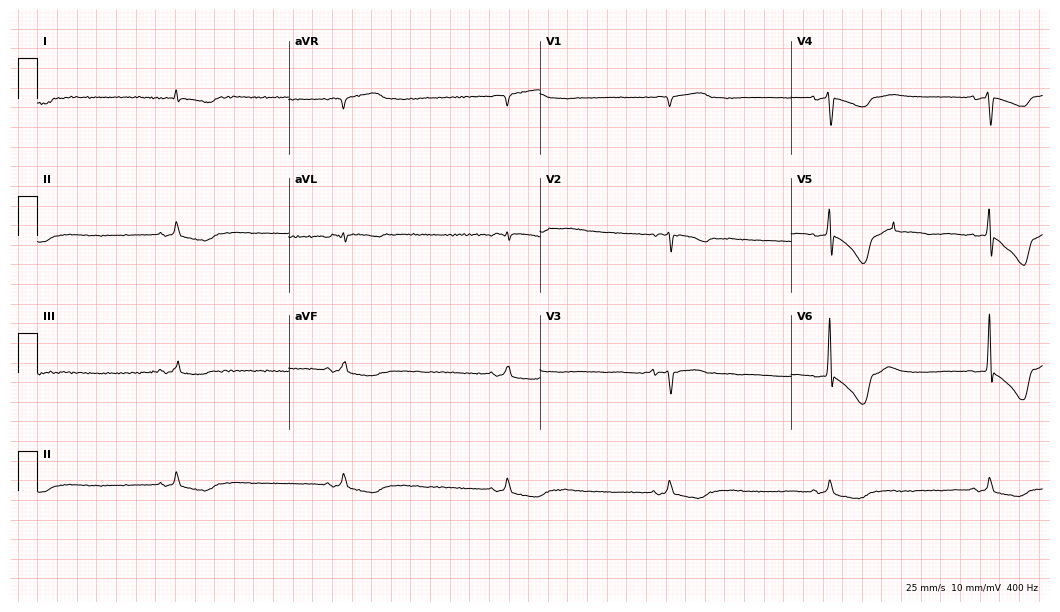
ECG (10.2-second recording at 400 Hz) — an 85-year-old woman. Findings include sinus tachycardia (a sinus rate of 100 beats per minute or more).